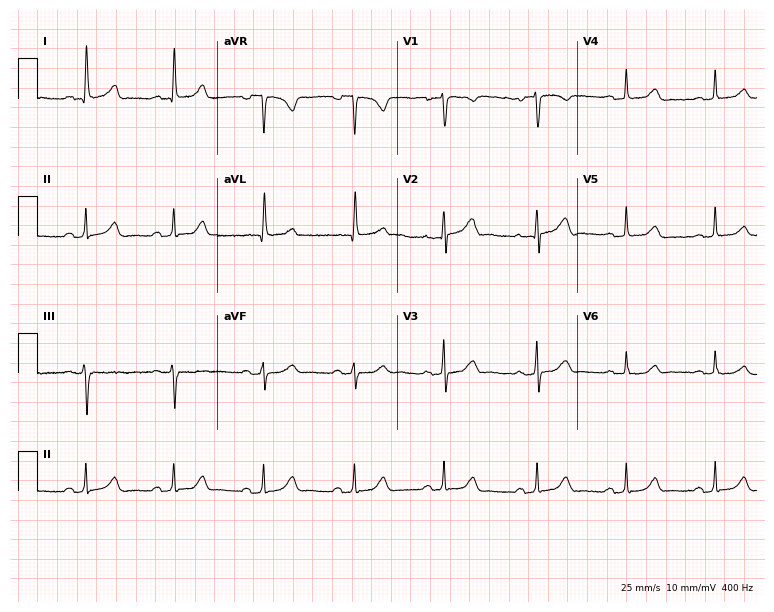
12-lead ECG (7.3-second recording at 400 Hz) from a female, 54 years old. Labelled as a normal ECG.